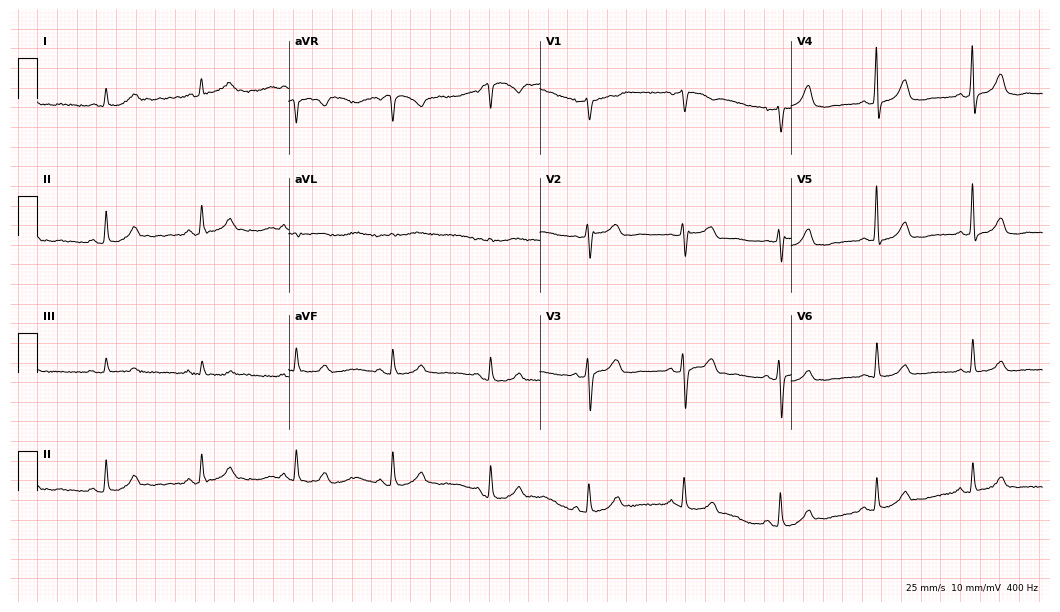
12-lead ECG from a female, 72 years old (10.2-second recording at 400 Hz). Recorded interpretation: within normal limits.